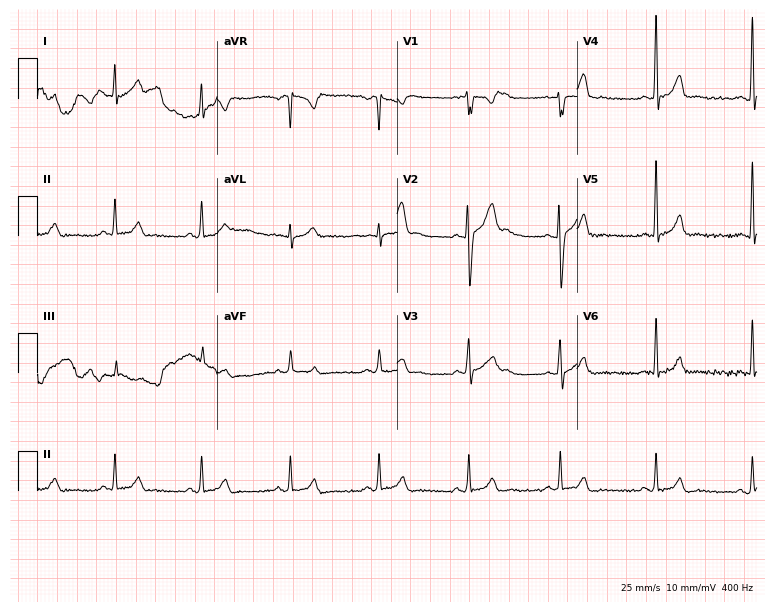
Resting 12-lead electrocardiogram (7.3-second recording at 400 Hz). Patient: a male, 21 years old. Read as a normal ECG.